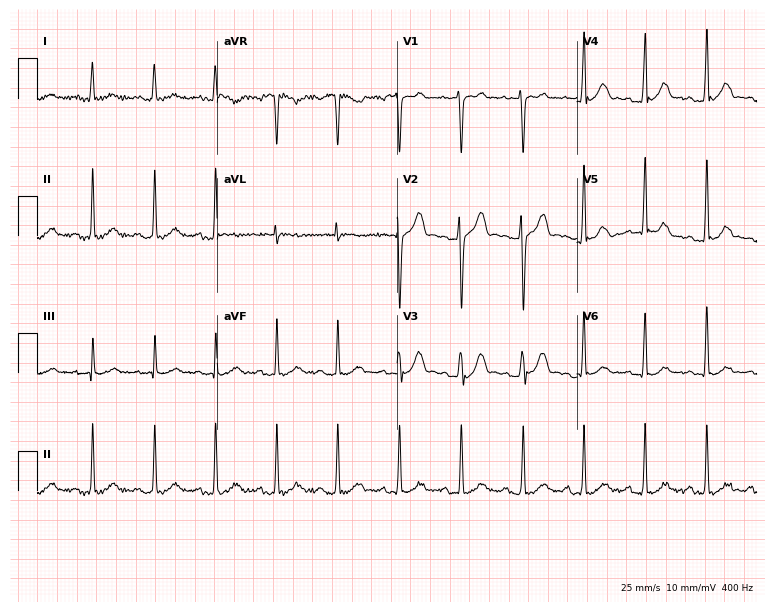
Resting 12-lead electrocardiogram. Patient: a male, 30 years old. None of these six findings is recorded: first-degree AV block, right bundle branch block, left bundle branch block, sinus bradycardia, atrial fibrillation, sinus tachycardia. Other findings, if any, are not listed.